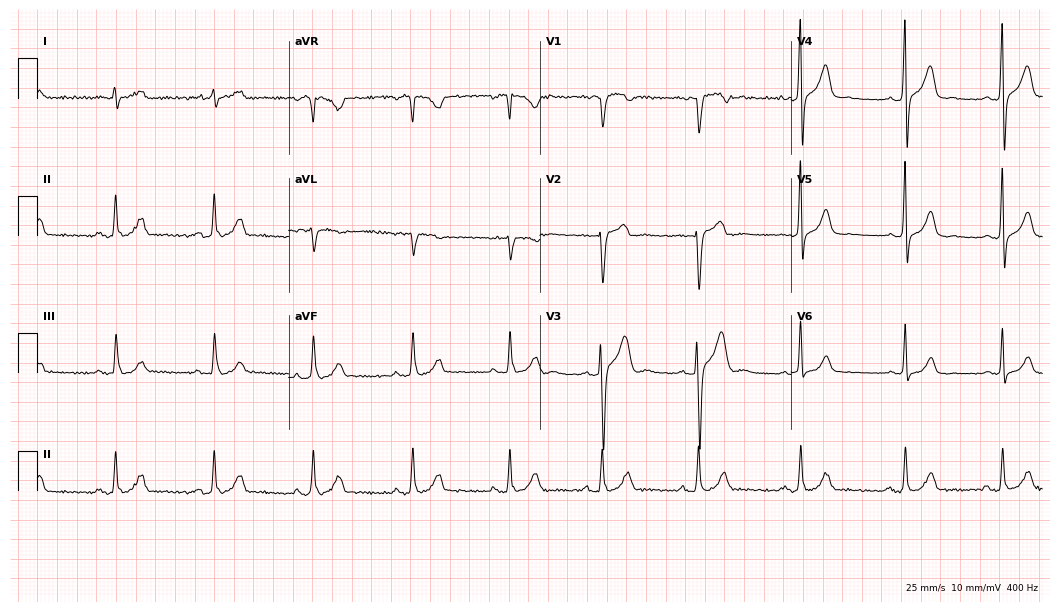
Electrocardiogram, a 31-year-old male patient. Overall reading on record: normal ECG.